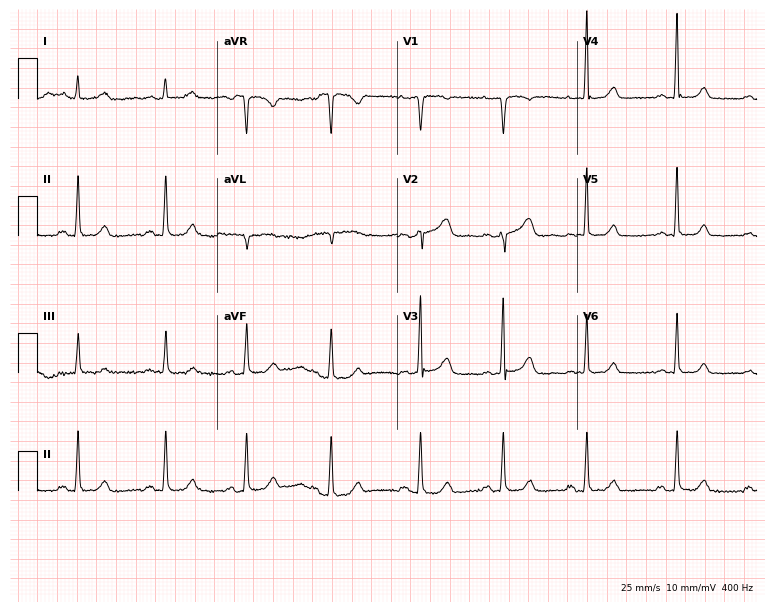
12-lead ECG from a woman, 39 years old (7.3-second recording at 400 Hz). No first-degree AV block, right bundle branch block (RBBB), left bundle branch block (LBBB), sinus bradycardia, atrial fibrillation (AF) or sinus tachycardia recorded for this tracing. Findings outside these six are not listed.